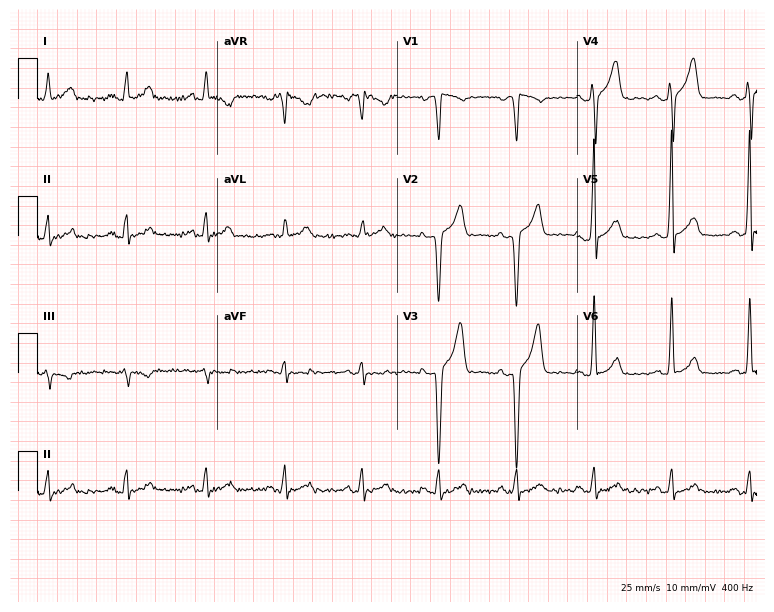
12-lead ECG from a male, 35 years old (7.3-second recording at 400 Hz). No first-degree AV block, right bundle branch block, left bundle branch block, sinus bradycardia, atrial fibrillation or sinus tachycardia recorded for this tracing.